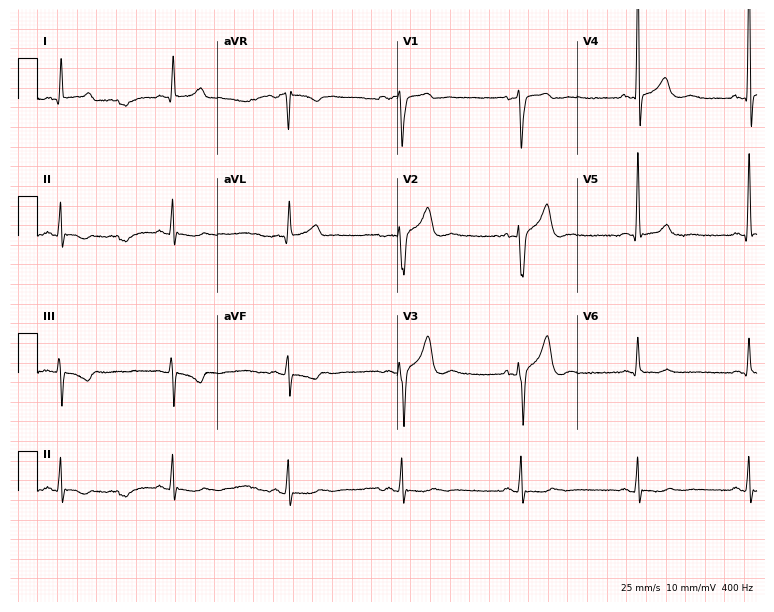
Electrocardiogram, a 52-year-old male patient. Of the six screened findings (first-degree AV block, right bundle branch block (RBBB), left bundle branch block (LBBB), sinus bradycardia, atrial fibrillation (AF), sinus tachycardia), none is recorded. Findings outside these six are not listed.